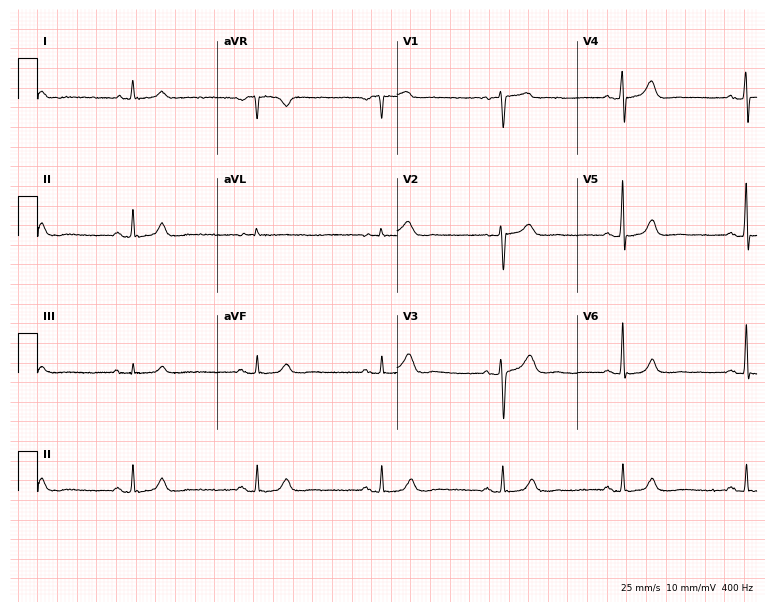
ECG (7.3-second recording at 400 Hz) — a 68-year-old male. Findings include sinus bradycardia (a sinus rate of 50 beats per minute or less).